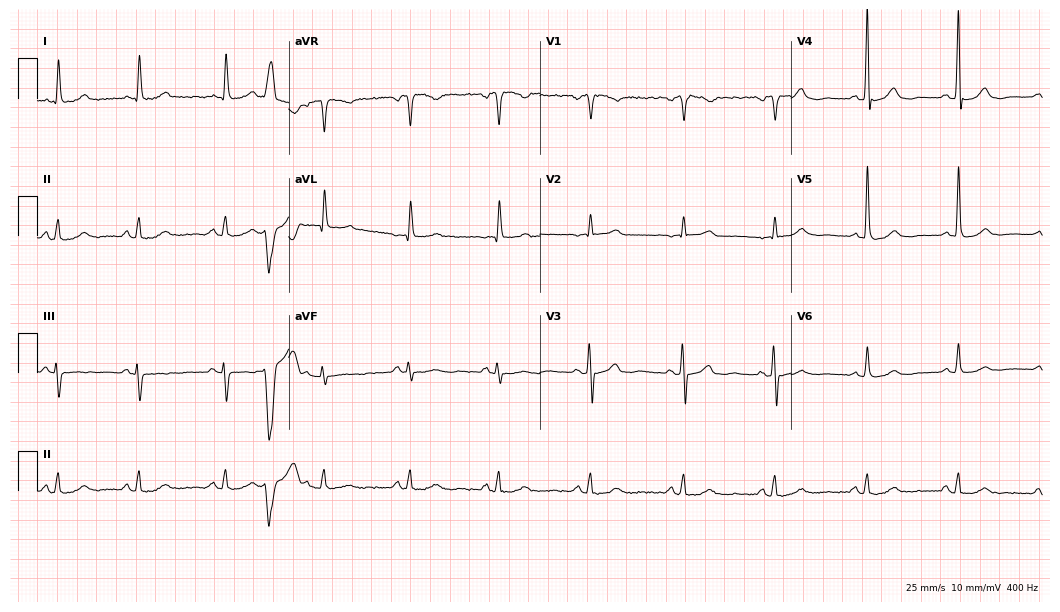
Electrocardiogram, a male patient, 78 years old. Of the six screened findings (first-degree AV block, right bundle branch block, left bundle branch block, sinus bradycardia, atrial fibrillation, sinus tachycardia), none is recorded.